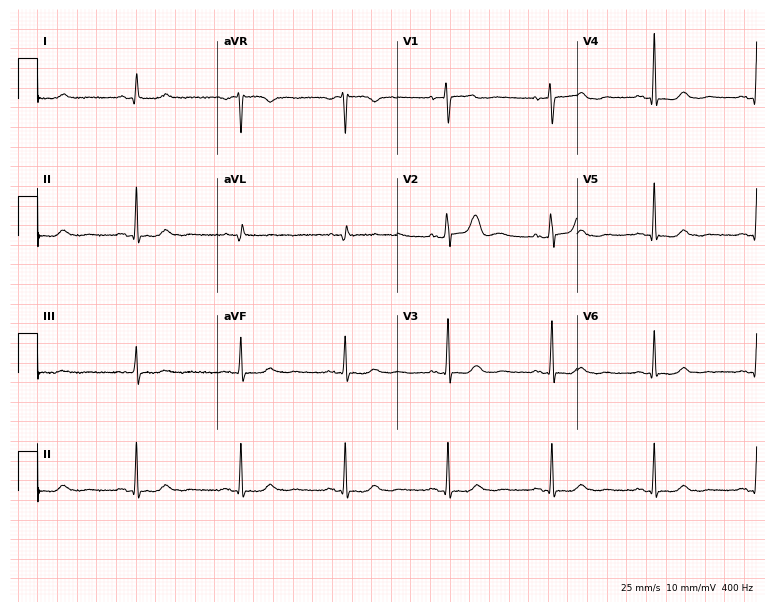
12-lead ECG (7.3-second recording at 400 Hz) from a female patient, 67 years old. Labelled as a normal ECG.